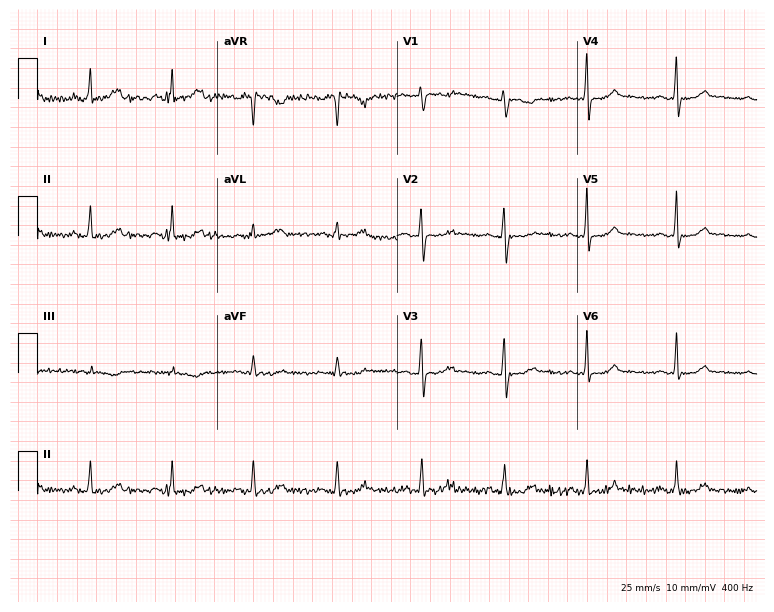
12-lead ECG (7.3-second recording at 400 Hz) from a female, 29 years old. Labelled as a normal ECG.